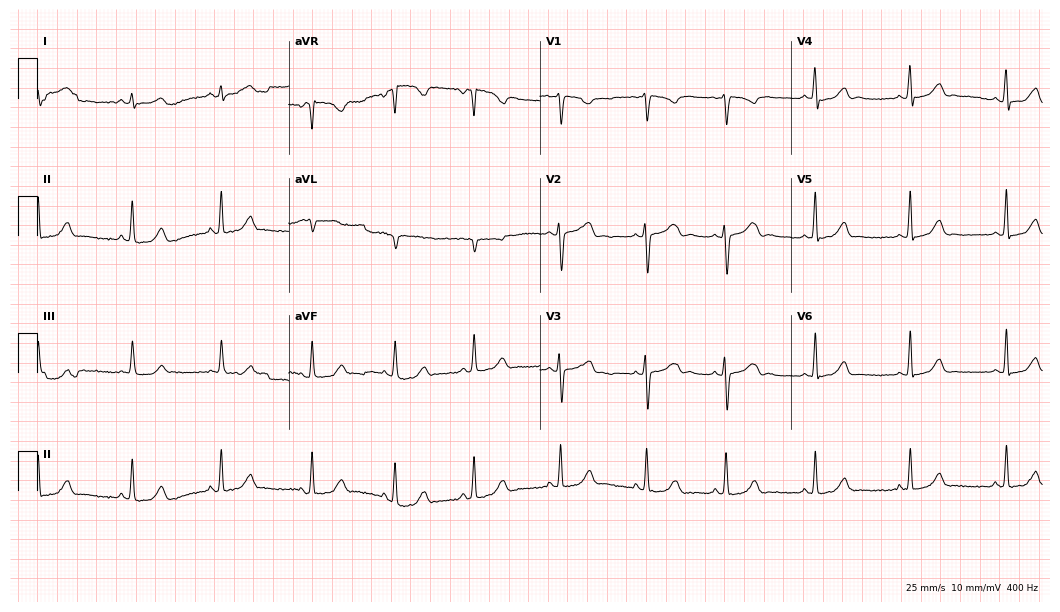
ECG — a woman, 17 years old. Labelled as a normal ECG.